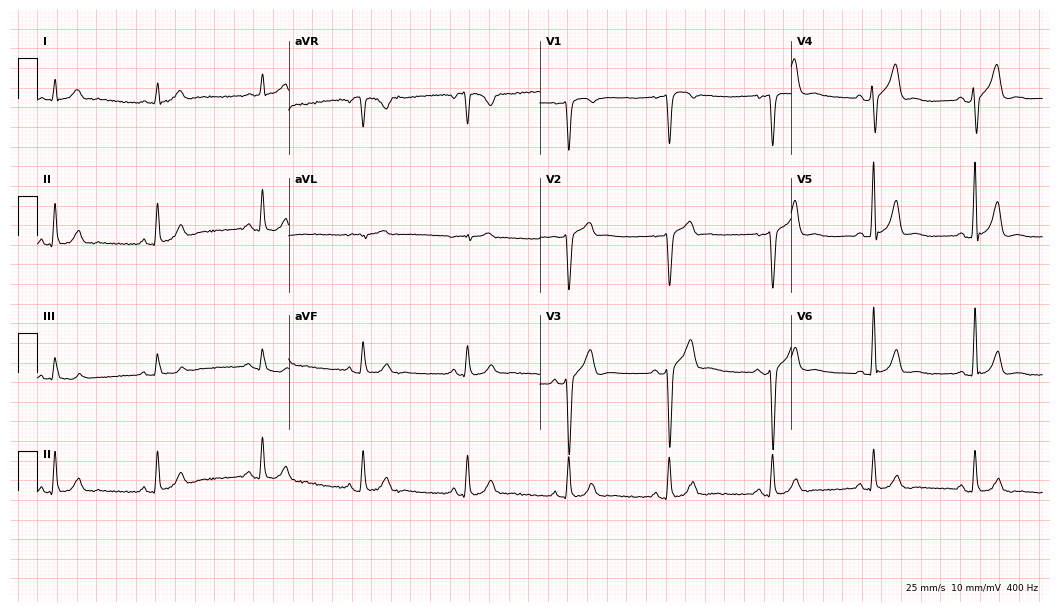
12-lead ECG from a 61-year-old male patient (10.2-second recording at 400 Hz). No first-degree AV block, right bundle branch block, left bundle branch block, sinus bradycardia, atrial fibrillation or sinus tachycardia recorded for this tracing. Findings outside these six are not listed.